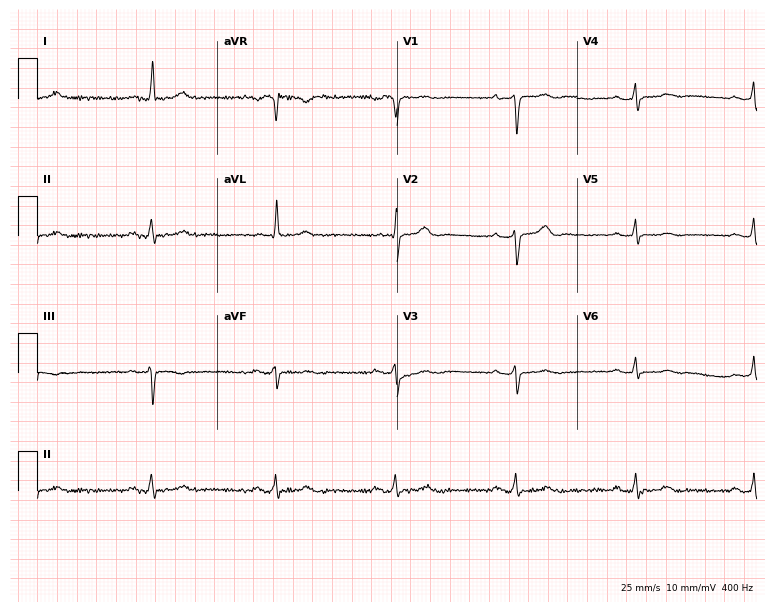
Resting 12-lead electrocardiogram (7.3-second recording at 400 Hz). Patient: a female, 65 years old. The tracing shows sinus bradycardia (a sinus rate of 50 beats per minute or less).